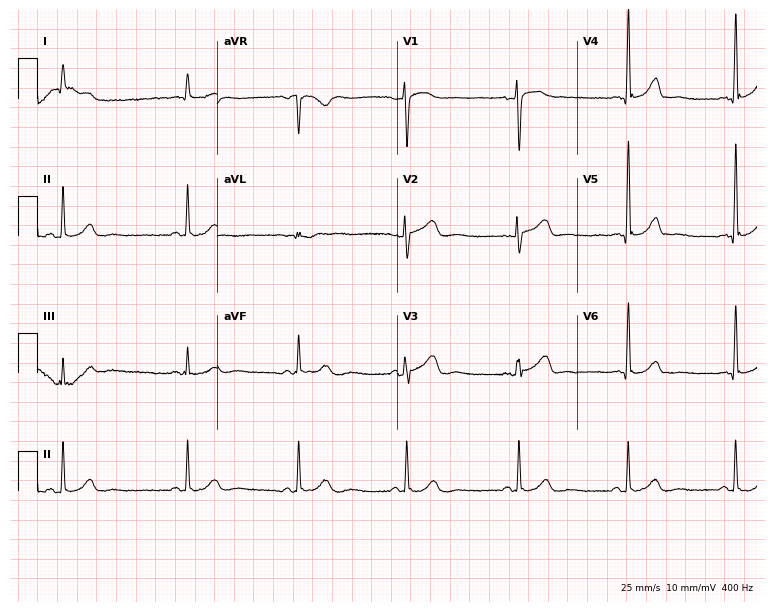
Electrocardiogram (7.3-second recording at 400 Hz), a female patient, 55 years old. Overall reading on record: normal ECG.